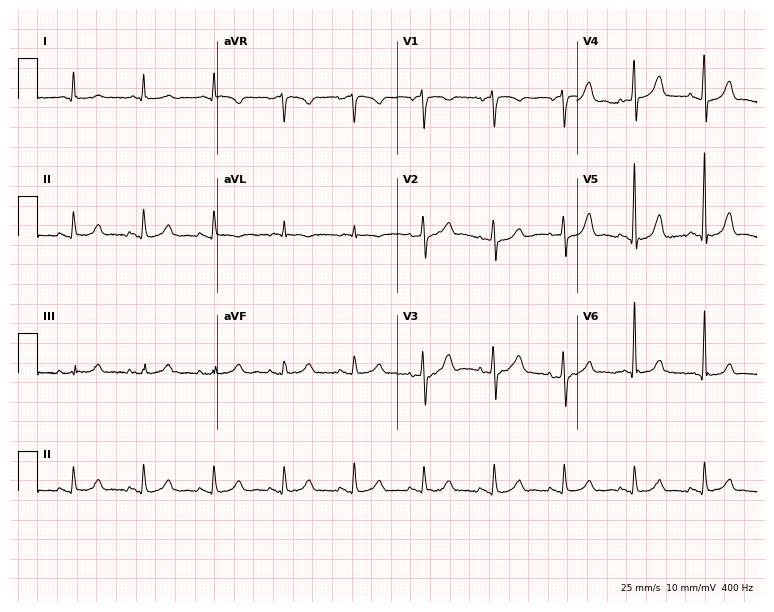
Standard 12-lead ECG recorded from a 77-year-old man (7.3-second recording at 400 Hz). Read as a normal ECG.